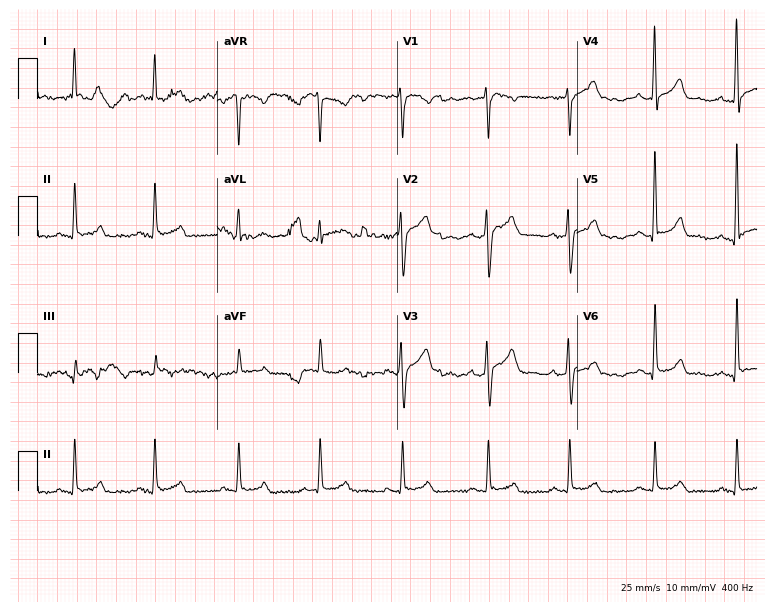
12-lead ECG from a male, 33 years old (7.3-second recording at 400 Hz). No first-degree AV block, right bundle branch block (RBBB), left bundle branch block (LBBB), sinus bradycardia, atrial fibrillation (AF) or sinus tachycardia recorded for this tracing.